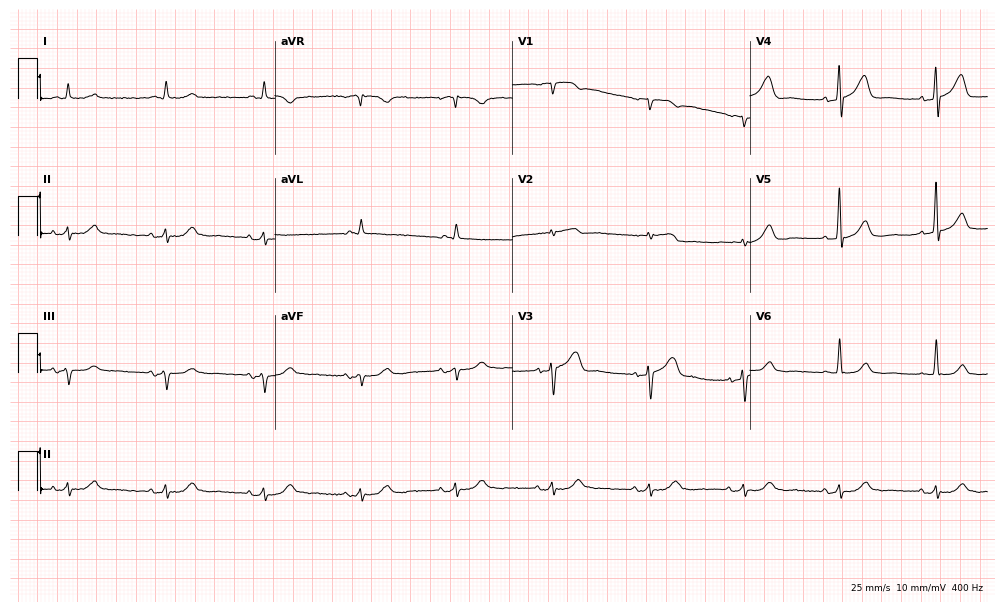
Electrocardiogram, an 80-year-old male patient. Of the six screened findings (first-degree AV block, right bundle branch block, left bundle branch block, sinus bradycardia, atrial fibrillation, sinus tachycardia), none is recorded.